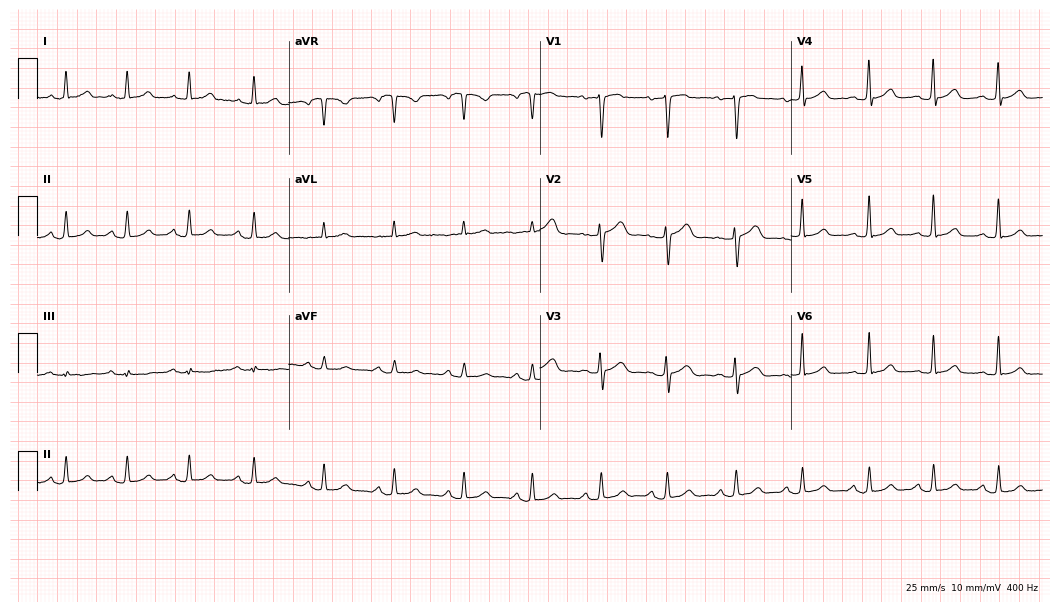
Resting 12-lead electrocardiogram. Patient: a female, 38 years old. Read as a normal ECG.